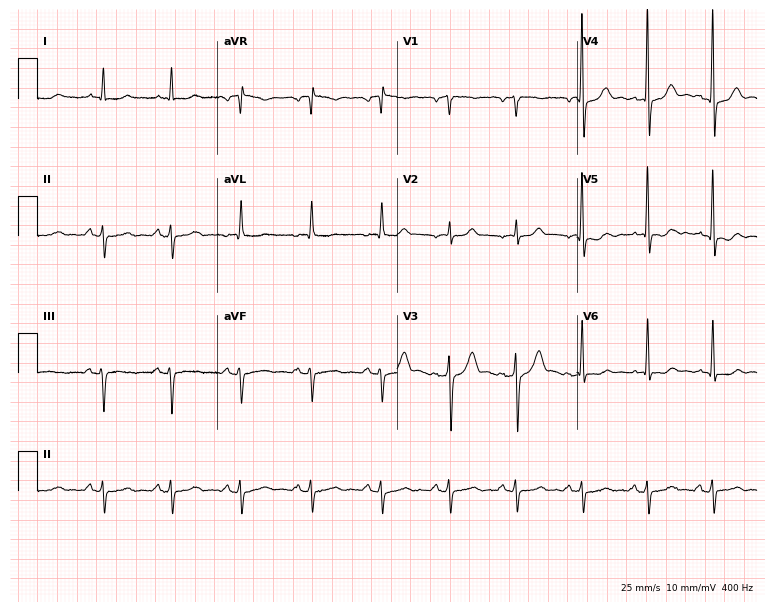
Resting 12-lead electrocardiogram. Patient: a male, 67 years old. None of these six findings is recorded: first-degree AV block, right bundle branch block, left bundle branch block, sinus bradycardia, atrial fibrillation, sinus tachycardia.